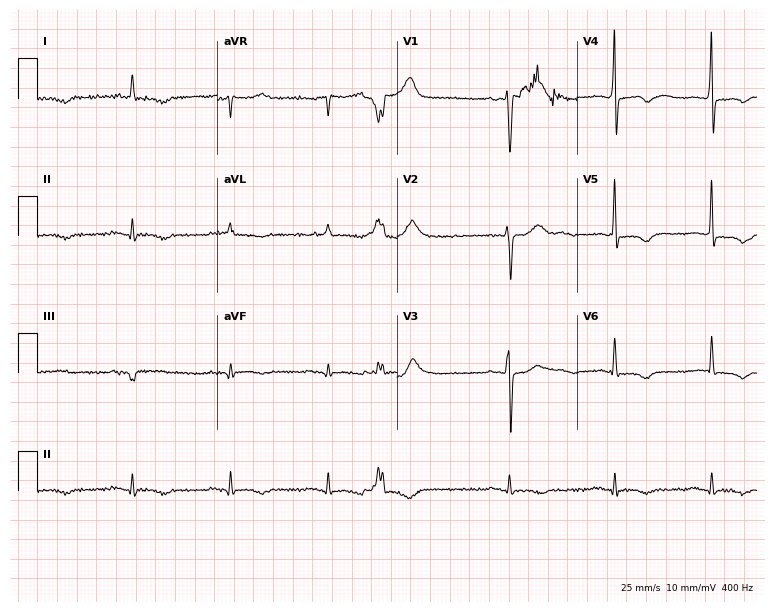
Standard 12-lead ECG recorded from an 80-year-old male. None of these six findings is recorded: first-degree AV block, right bundle branch block, left bundle branch block, sinus bradycardia, atrial fibrillation, sinus tachycardia.